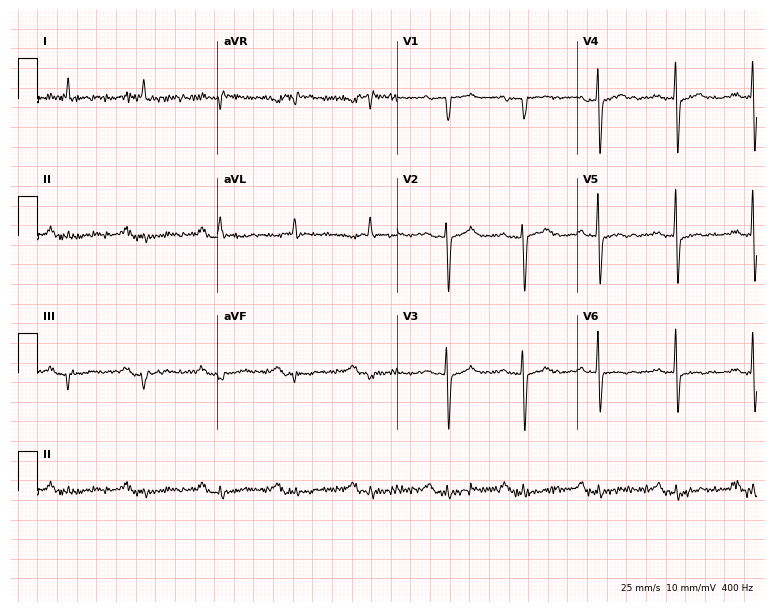
Electrocardiogram, a 79-year-old female. Of the six screened findings (first-degree AV block, right bundle branch block (RBBB), left bundle branch block (LBBB), sinus bradycardia, atrial fibrillation (AF), sinus tachycardia), none is recorded. Findings outside these six are not listed.